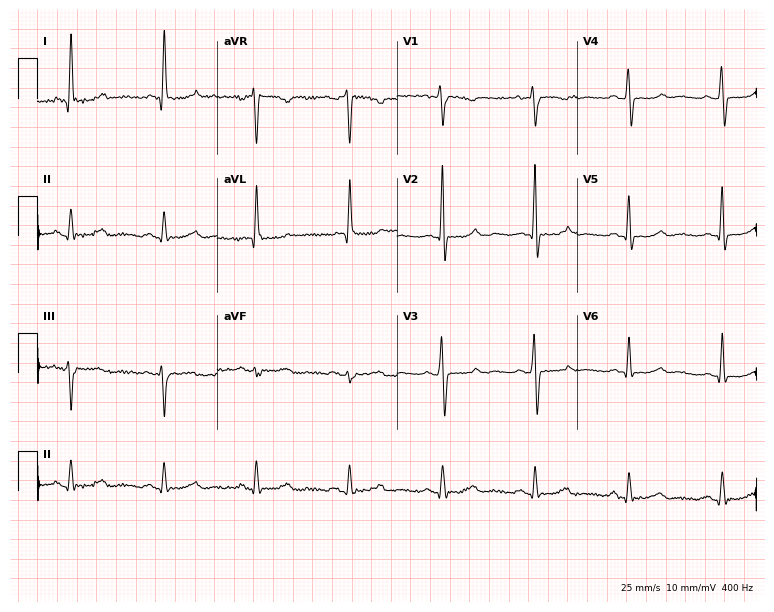
12-lead ECG from a 75-year-old female patient. Screened for six findings — first-degree AV block, right bundle branch block, left bundle branch block, sinus bradycardia, atrial fibrillation, sinus tachycardia — none is recorded.